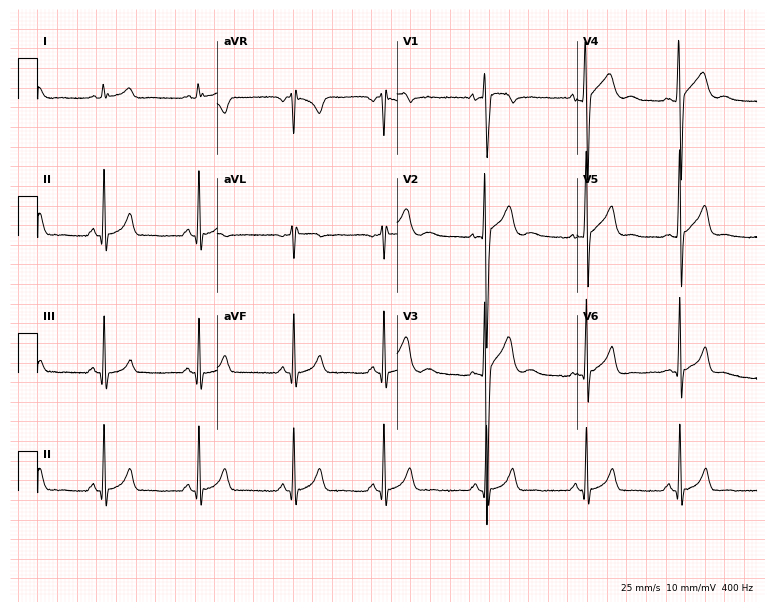
Standard 12-lead ECG recorded from an 18-year-old male (7.3-second recording at 400 Hz). Read as a normal ECG.